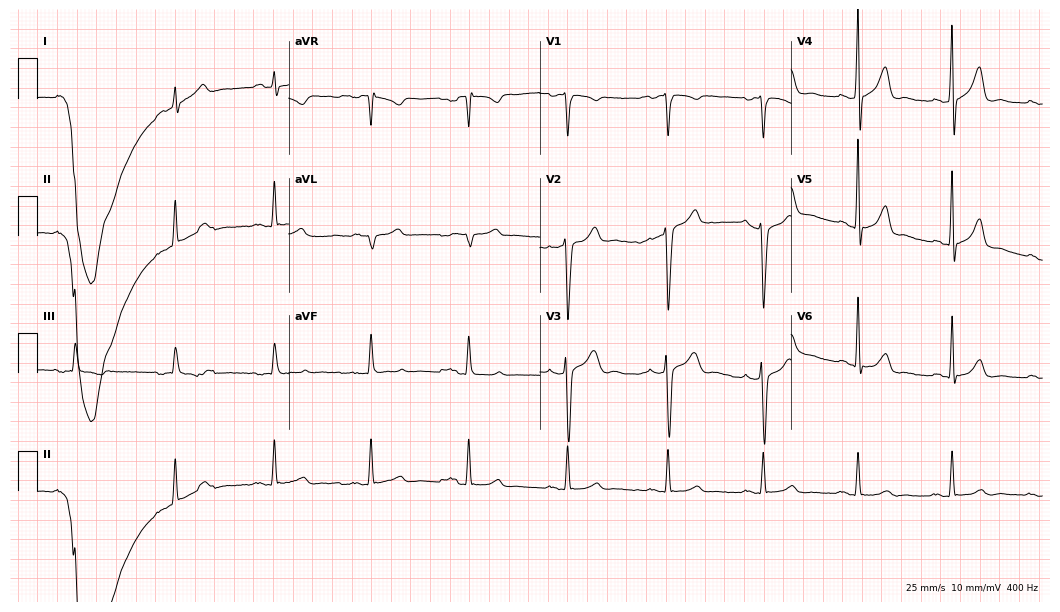
Electrocardiogram (10.2-second recording at 400 Hz), a 43-year-old male. Overall reading on record: normal ECG.